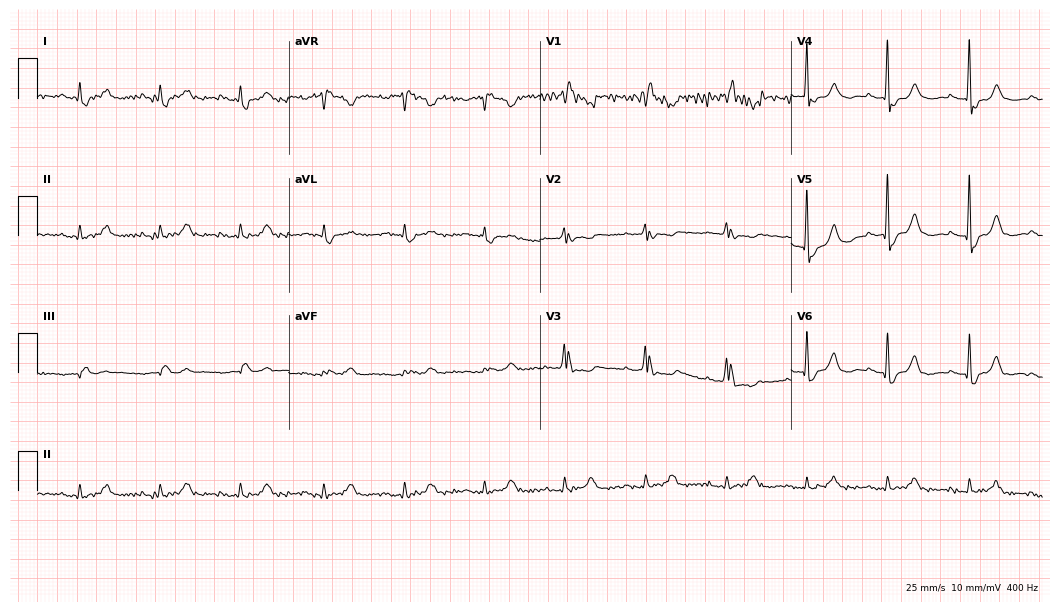
Electrocardiogram, an 84-year-old man. Interpretation includes right bundle branch block.